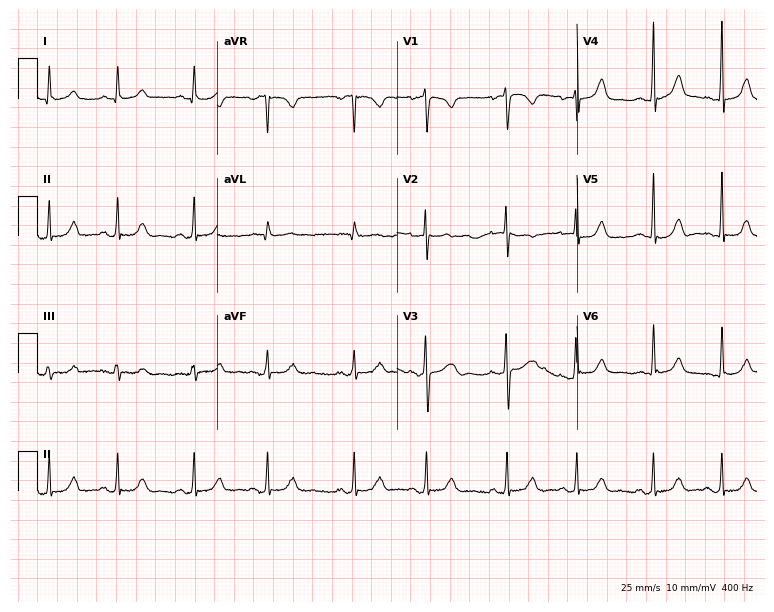
Standard 12-lead ECG recorded from a 20-year-old female. Read as a normal ECG.